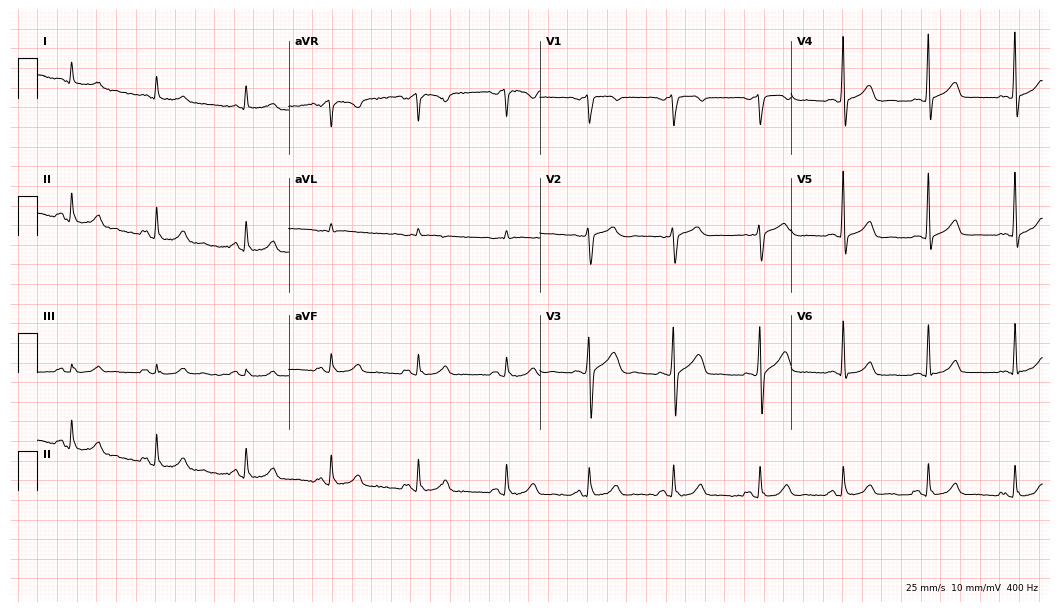
12-lead ECG from a 63-year-old male patient (10.2-second recording at 400 Hz). Recorded interpretation: within normal limits.